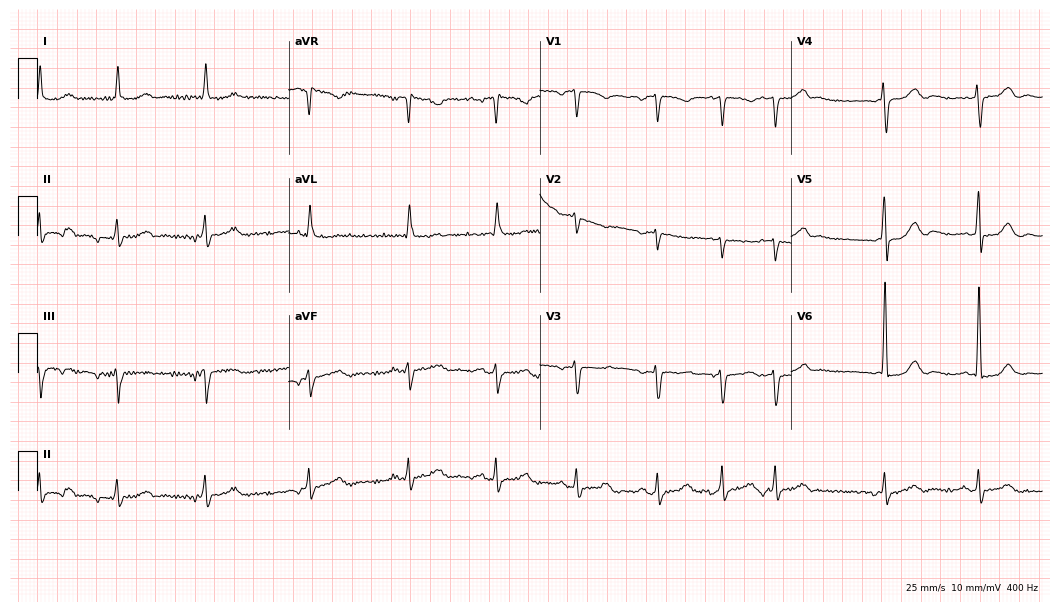
12-lead ECG from a female patient, 81 years old (10.2-second recording at 400 Hz). No first-degree AV block, right bundle branch block, left bundle branch block, sinus bradycardia, atrial fibrillation or sinus tachycardia recorded for this tracing.